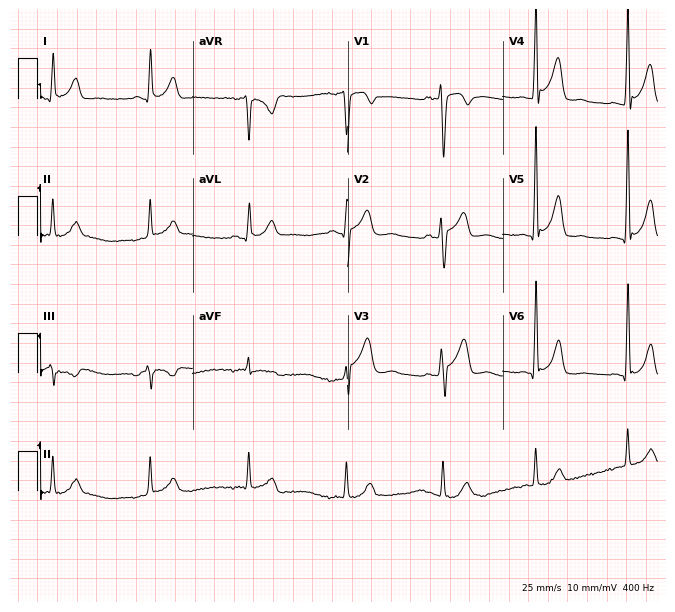
Electrocardiogram, a 29-year-old man. Overall reading on record: normal ECG.